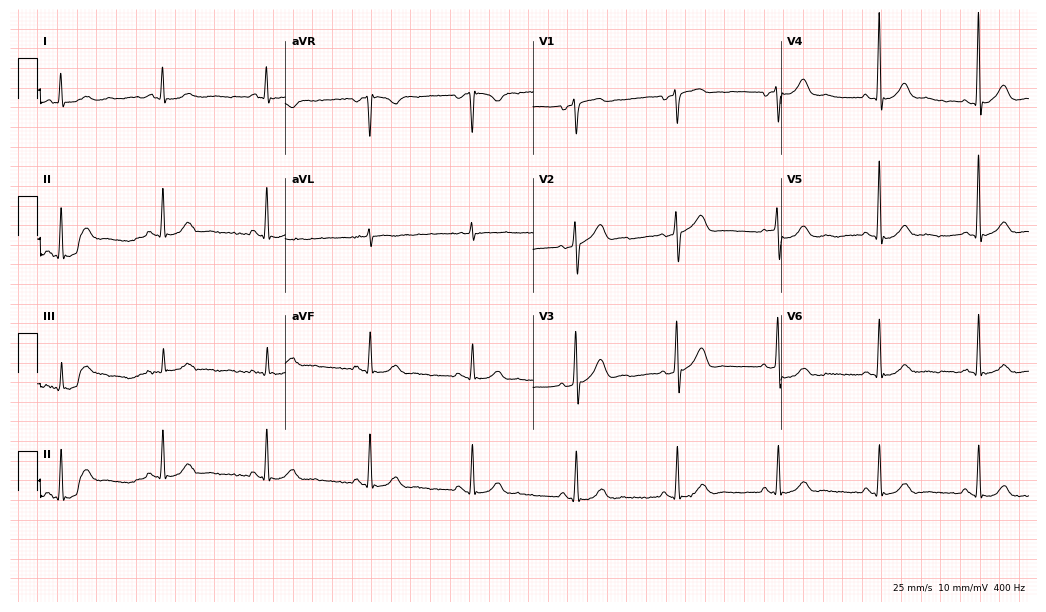
ECG — a male, 81 years old. Screened for six findings — first-degree AV block, right bundle branch block, left bundle branch block, sinus bradycardia, atrial fibrillation, sinus tachycardia — none is recorded.